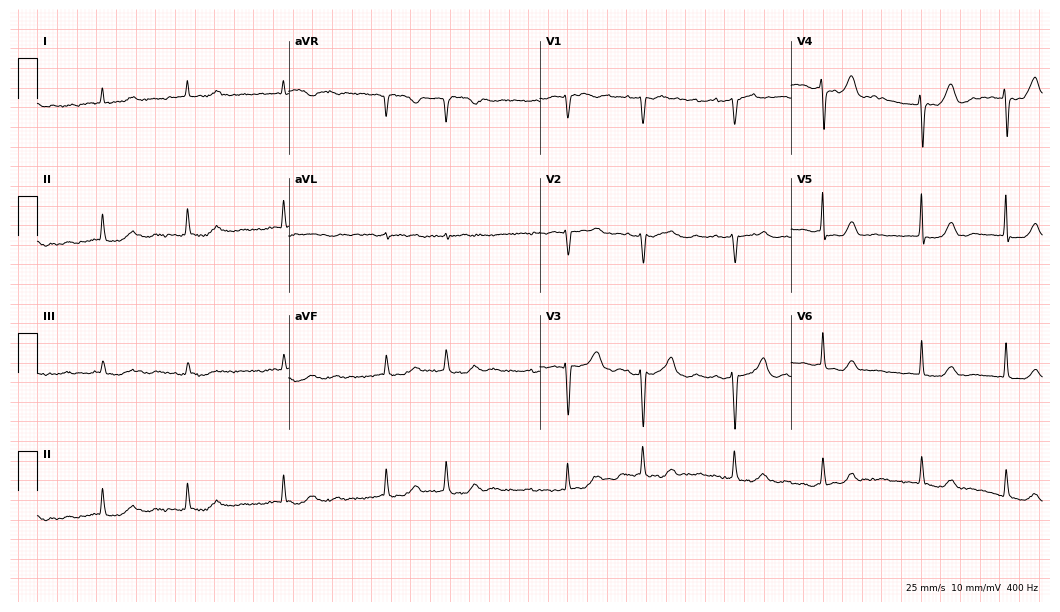
ECG — a female patient, 84 years old. Findings include atrial fibrillation.